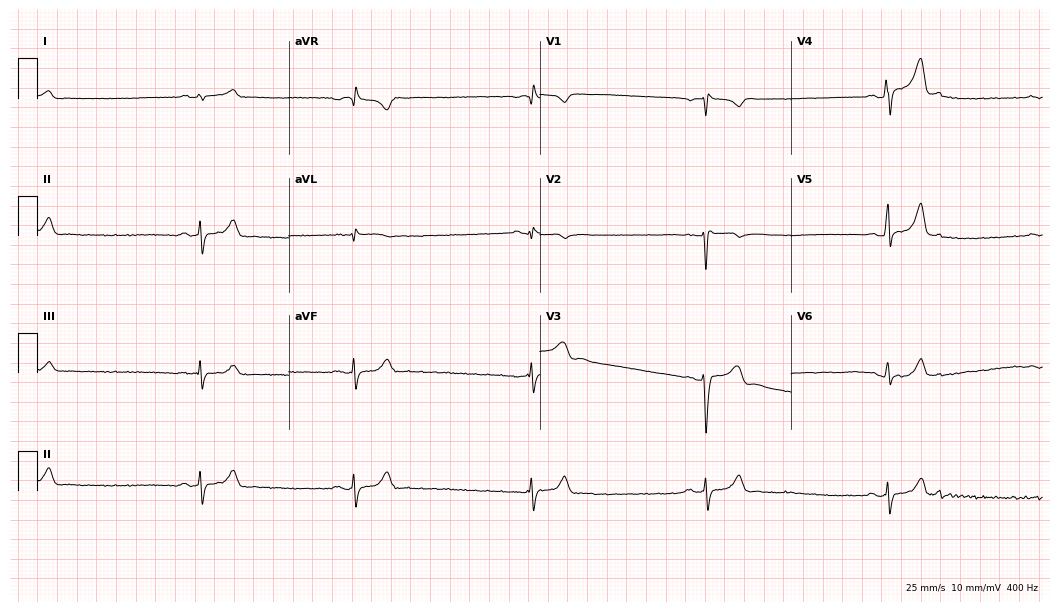
12-lead ECG from a man, 21 years old. Screened for six findings — first-degree AV block, right bundle branch block, left bundle branch block, sinus bradycardia, atrial fibrillation, sinus tachycardia — none is recorded. Other findings, if any, are not listed.